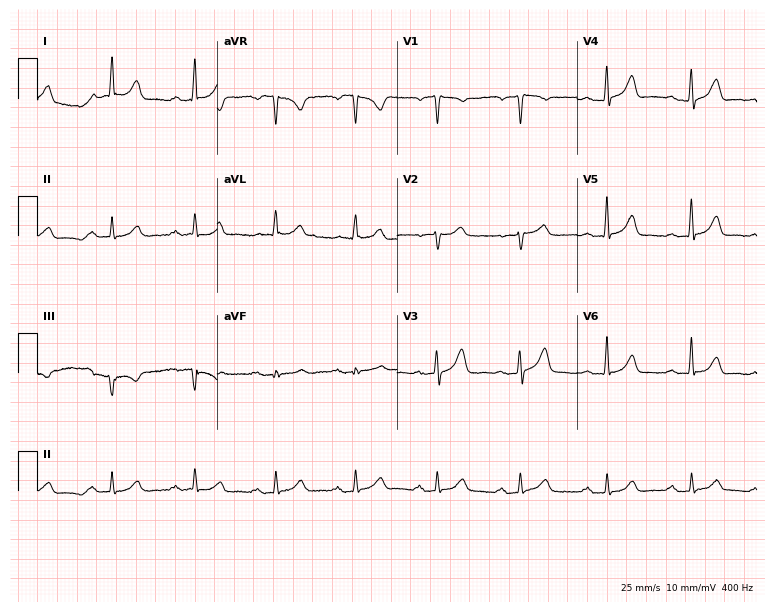
Resting 12-lead electrocardiogram (7.3-second recording at 400 Hz). Patient: a 65-year-old female. None of these six findings is recorded: first-degree AV block, right bundle branch block (RBBB), left bundle branch block (LBBB), sinus bradycardia, atrial fibrillation (AF), sinus tachycardia. Only these six findings were labelled.